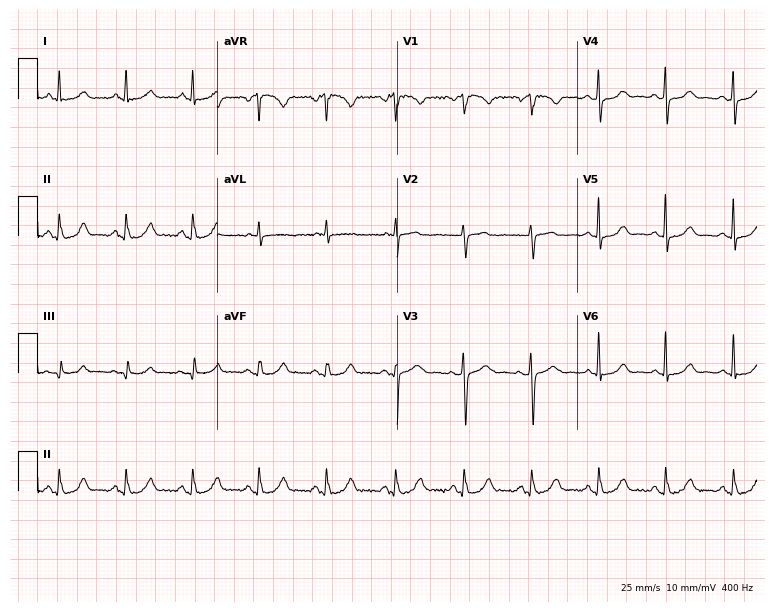
Standard 12-lead ECG recorded from a female patient, 31 years old. Read as a normal ECG.